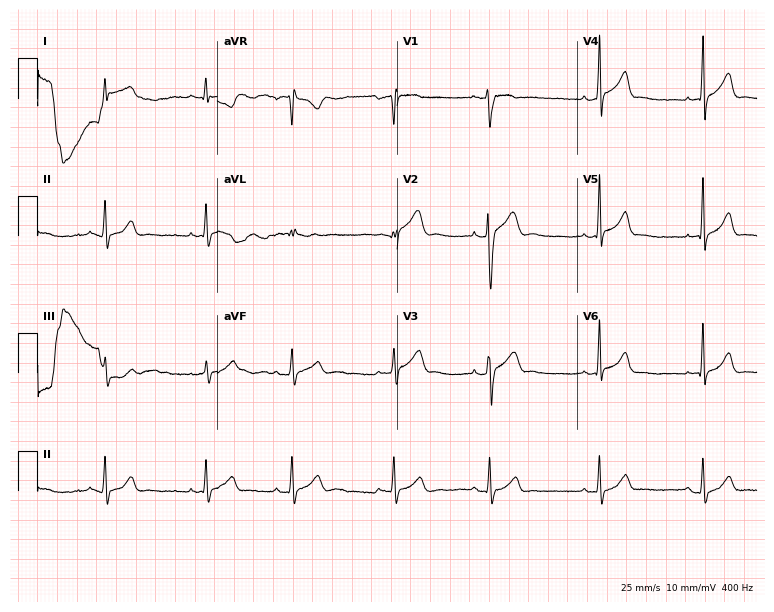
12-lead ECG from a female, 20 years old. No first-degree AV block, right bundle branch block, left bundle branch block, sinus bradycardia, atrial fibrillation or sinus tachycardia recorded for this tracing.